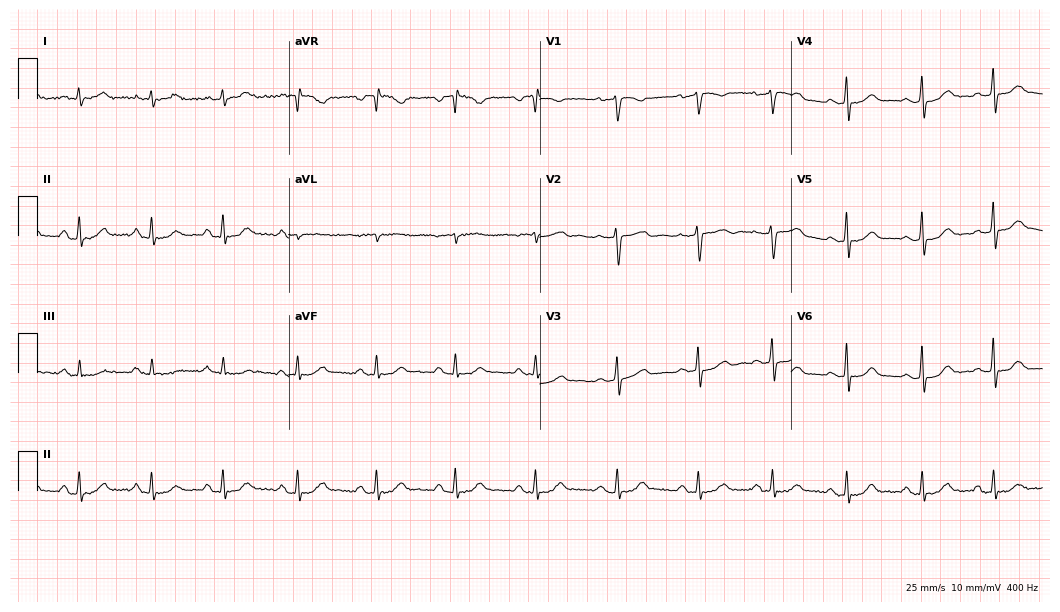
Resting 12-lead electrocardiogram (10.2-second recording at 400 Hz). Patient: a 35-year-old female. Read as a normal ECG.